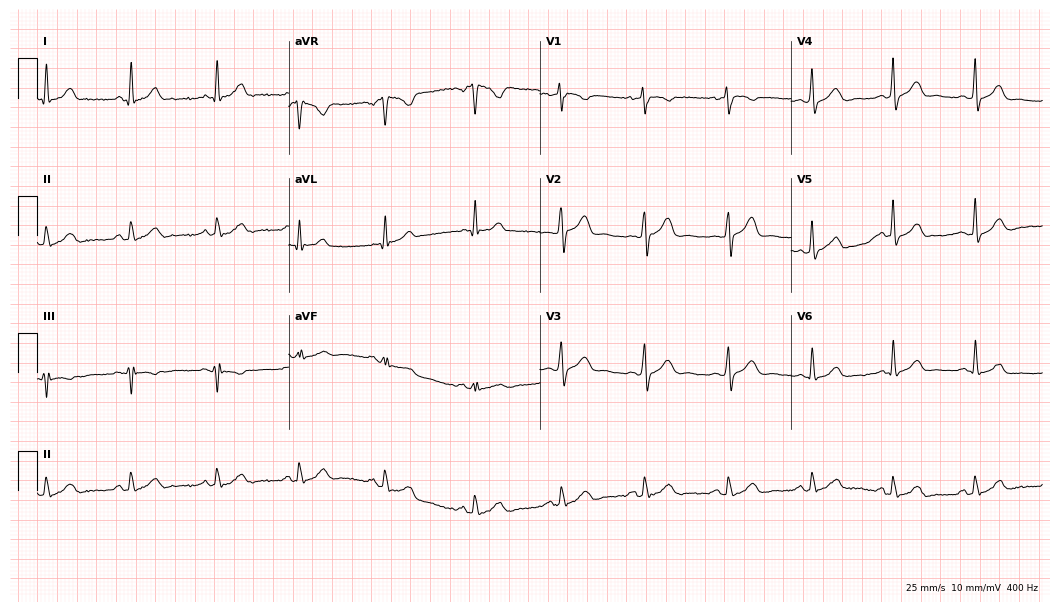
ECG (10.2-second recording at 400 Hz) — a female, 38 years old. Labelled as a normal ECG.